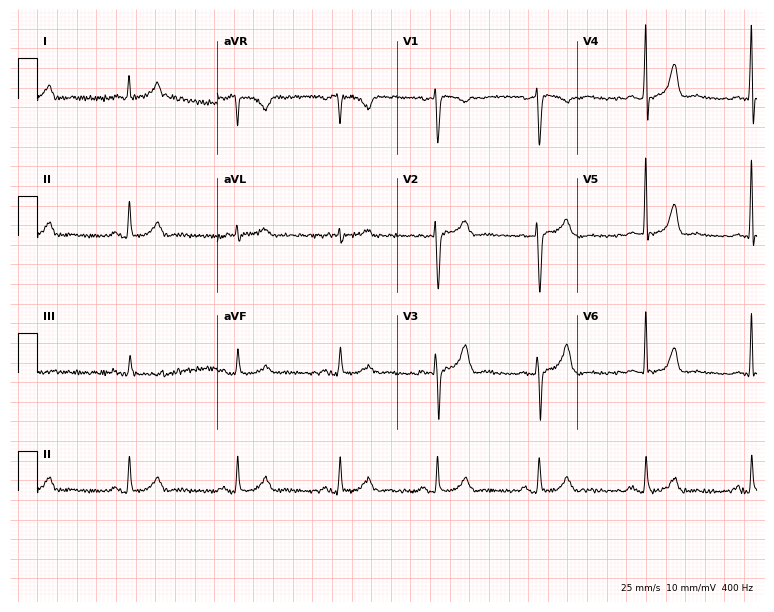
Standard 12-lead ECG recorded from a 57-year-old man. Read as a normal ECG.